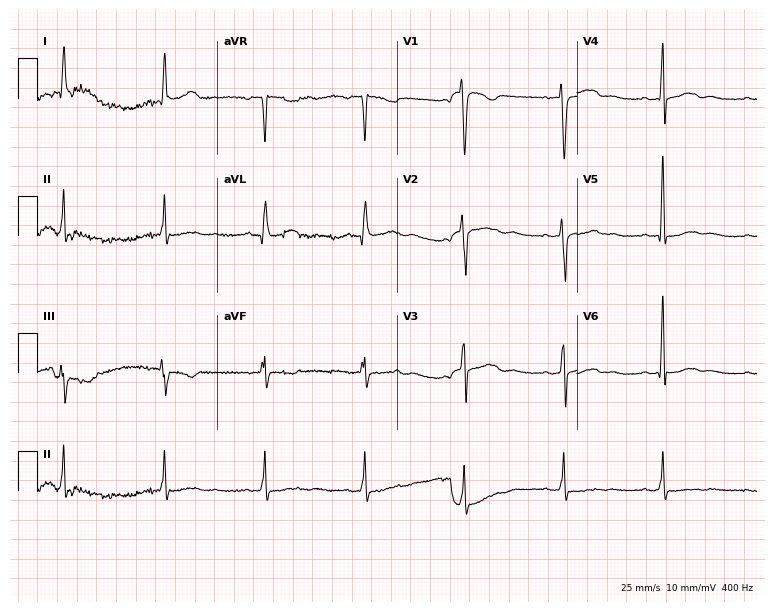
ECG (7.3-second recording at 400 Hz) — a female patient, 52 years old. Screened for six findings — first-degree AV block, right bundle branch block, left bundle branch block, sinus bradycardia, atrial fibrillation, sinus tachycardia — none is recorded.